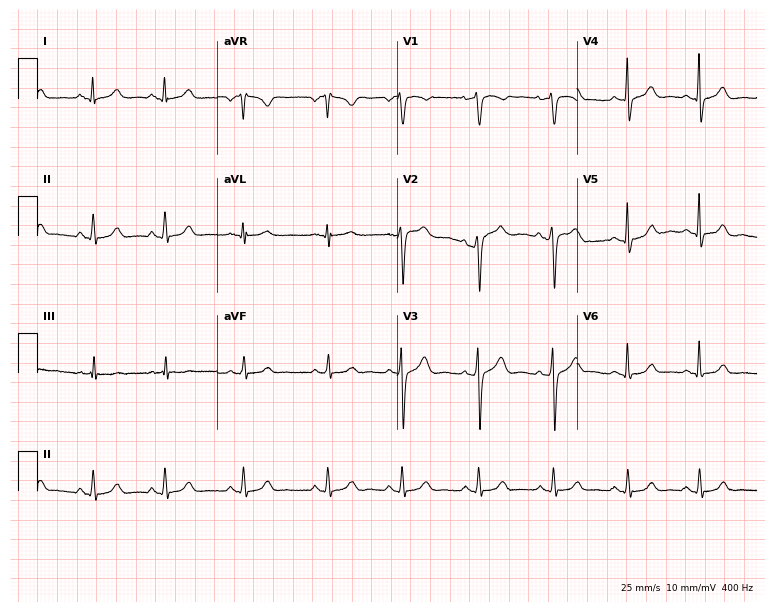
Standard 12-lead ECG recorded from a female patient, 33 years old (7.3-second recording at 400 Hz). Read as a normal ECG.